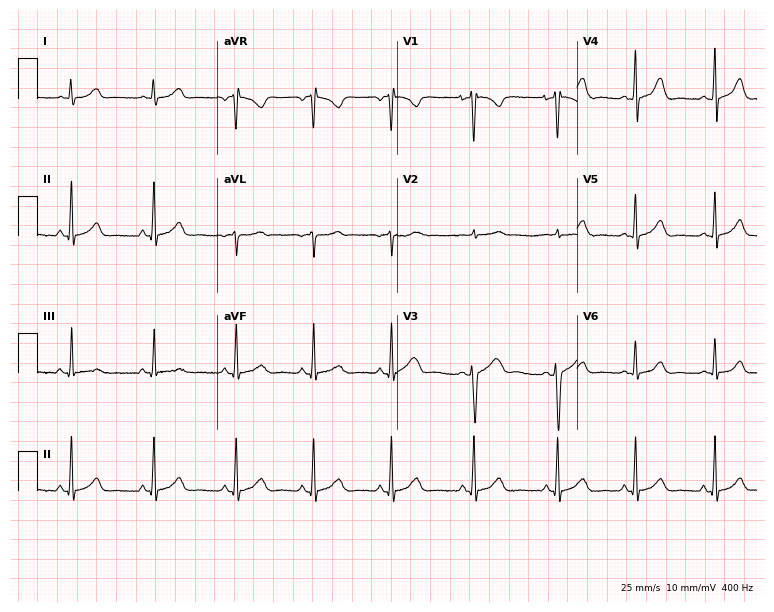
Resting 12-lead electrocardiogram (7.3-second recording at 400 Hz). Patient: a female, 19 years old. Read as a normal ECG.